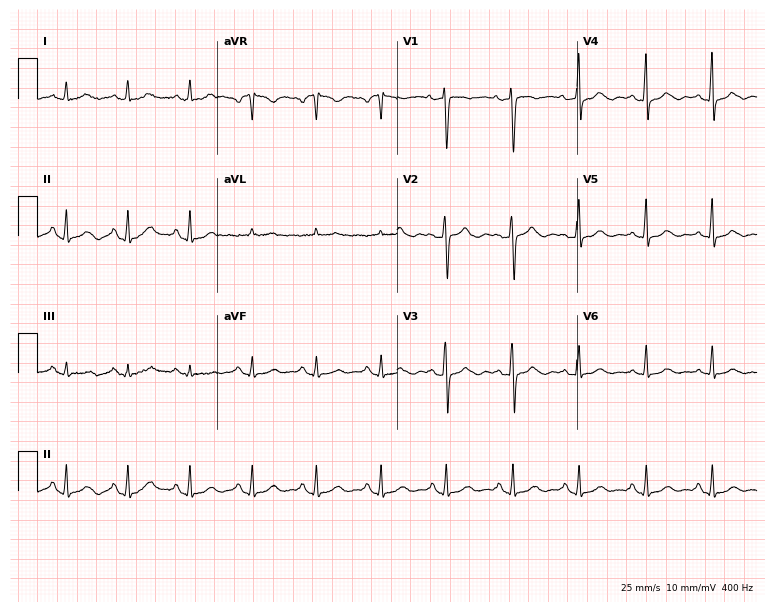
12-lead ECG from a female, 52 years old (7.3-second recording at 400 Hz). No first-degree AV block, right bundle branch block, left bundle branch block, sinus bradycardia, atrial fibrillation or sinus tachycardia recorded for this tracing. Findings outside these six are not listed.